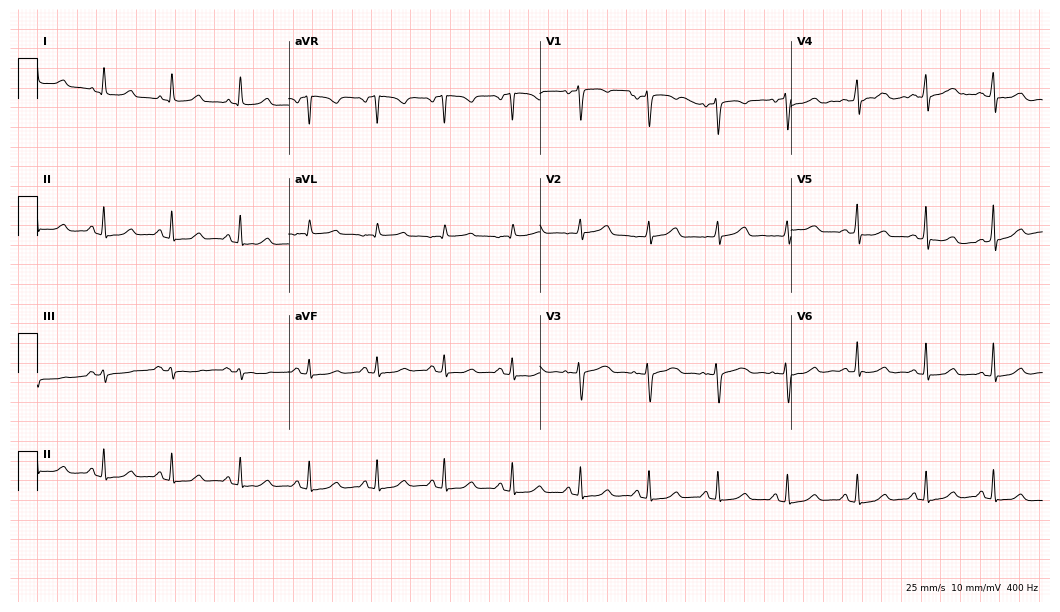
12-lead ECG from a 44-year-old female patient. Recorded interpretation: within normal limits.